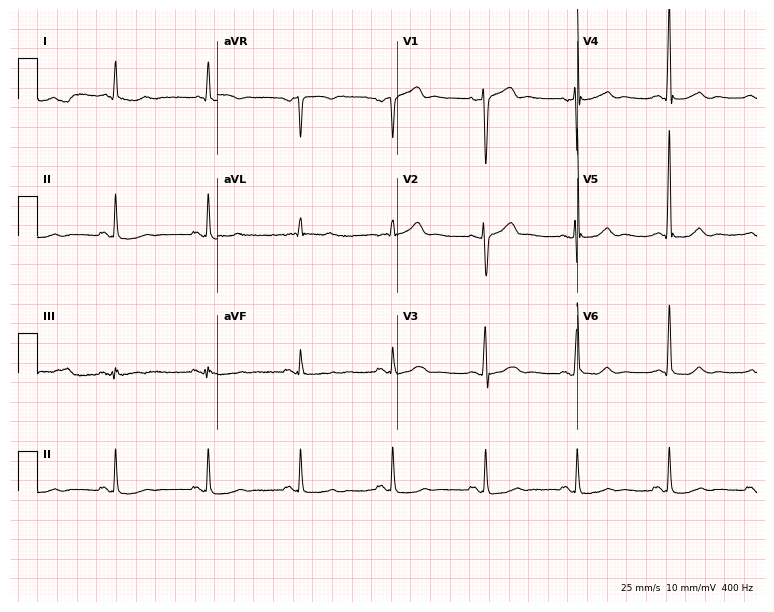
Electrocardiogram (7.3-second recording at 400 Hz), a male, 70 years old. Of the six screened findings (first-degree AV block, right bundle branch block (RBBB), left bundle branch block (LBBB), sinus bradycardia, atrial fibrillation (AF), sinus tachycardia), none is recorded. Other findings, if any, are not listed.